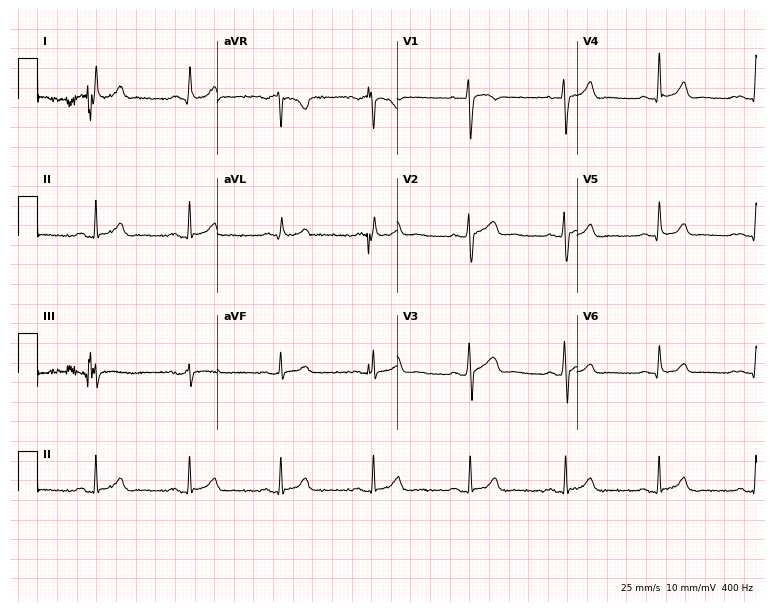
12-lead ECG from a 38-year-old male patient. Labelled as a normal ECG.